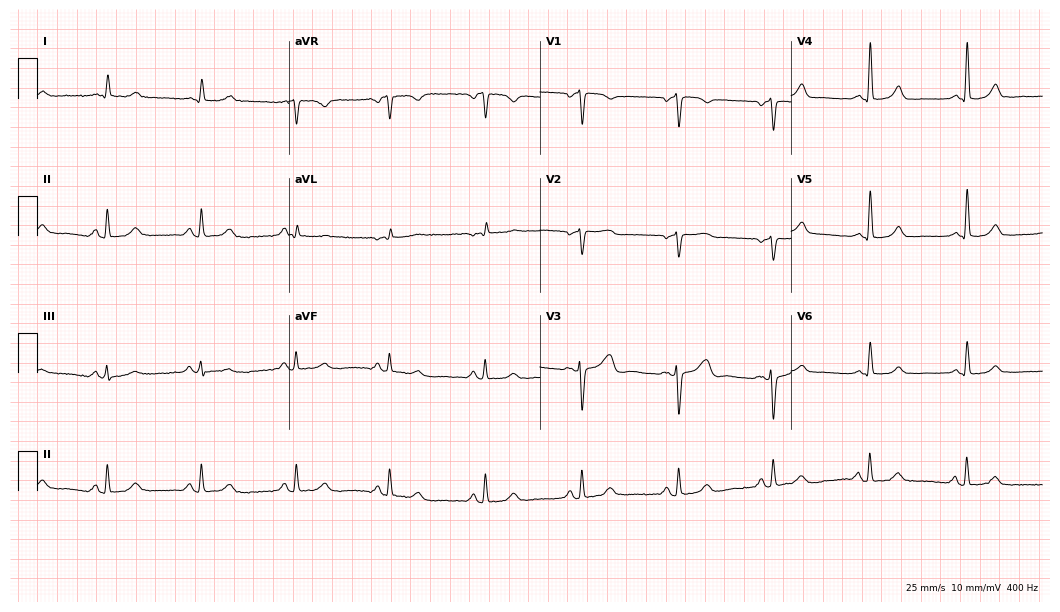
12-lead ECG from a 63-year-old woman (10.2-second recording at 400 Hz). Recorded interpretation: within normal limits.